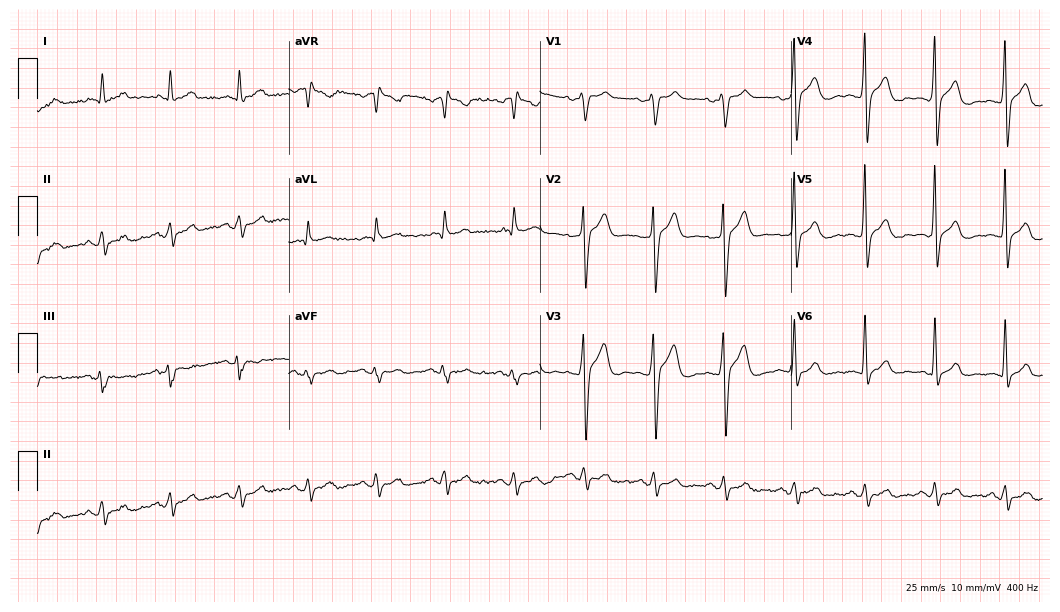
Electrocardiogram, a man, 53 years old. Of the six screened findings (first-degree AV block, right bundle branch block, left bundle branch block, sinus bradycardia, atrial fibrillation, sinus tachycardia), none is recorded.